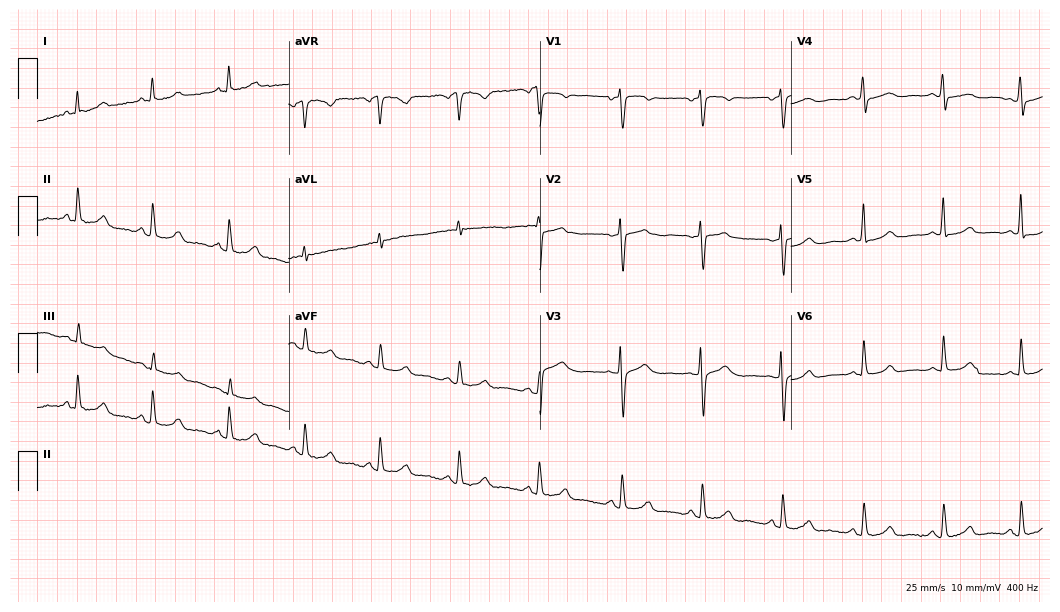
Electrocardiogram, a female, 54 years old. Of the six screened findings (first-degree AV block, right bundle branch block (RBBB), left bundle branch block (LBBB), sinus bradycardia, atrial fibrillation (AF), sinus tachycardia), none is recorded. Other findings, if any, are not listed.